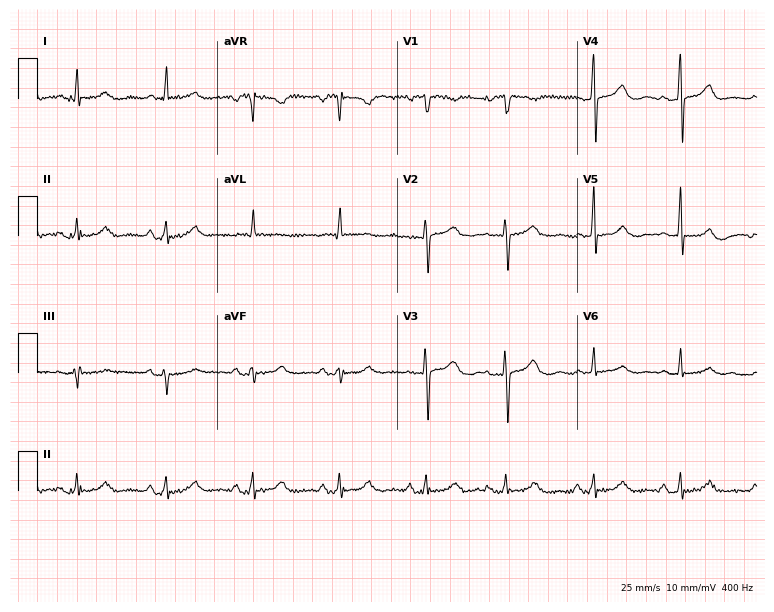
12-lead ECG from a 66-year-old female patient. Labelled as a normal ECG.